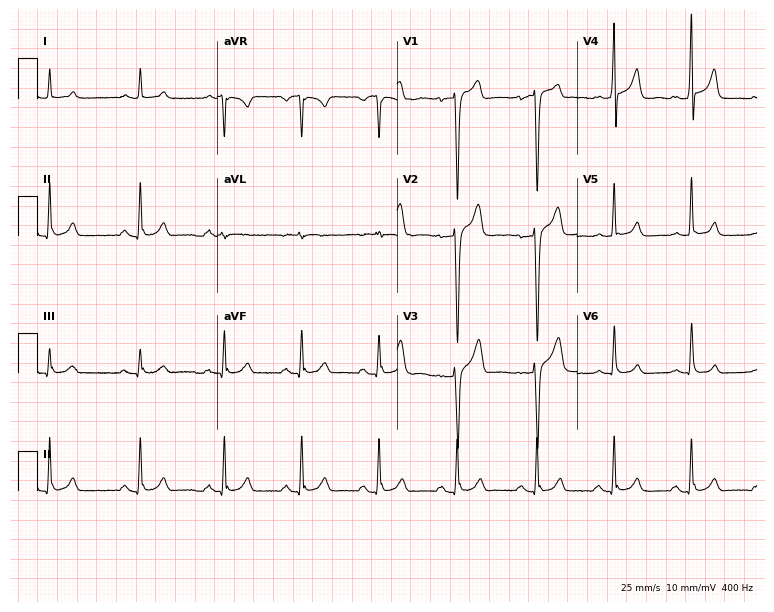
ECG — a 44-year-old male patient. Screened for six findings — first-degree AV block, right bundle branch block (RBBB), left bundle branch block (LBBB), sinus bradycardia, atrial fibrillation (AF), sinus tachycardia — none is recorded. Other findings, if any, are not listed.